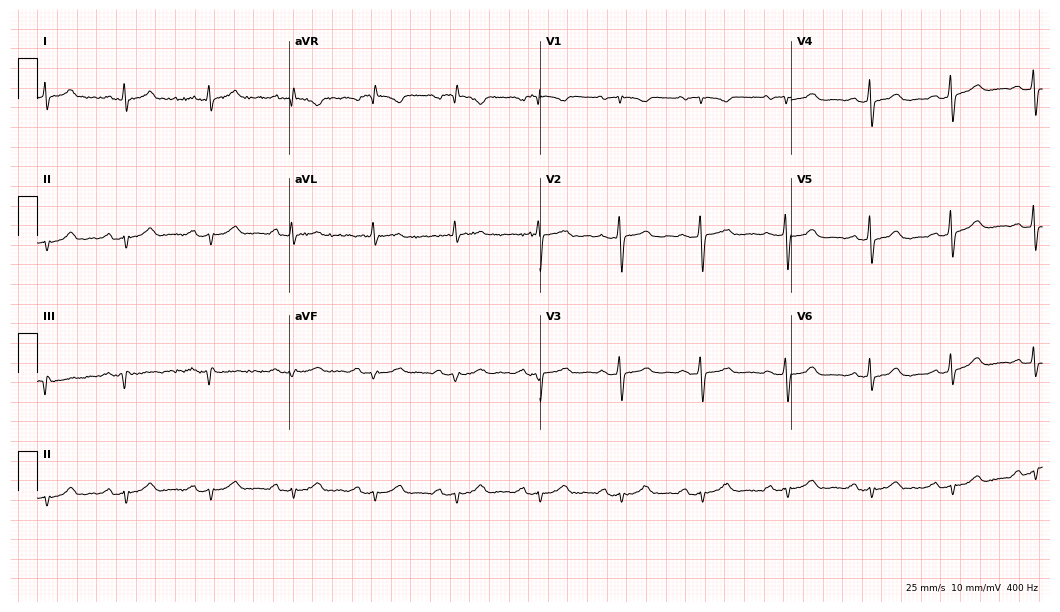
12-lead ECG from a female patient, 66 years old. No first-degree AV block, right bundle branch block (RBBB), left bundle branch block (LBBB), sinus bradycardia, atrial fibrillation (AF) or sinus tachycardia recorded for this tracing. Only these six findings were labelled.